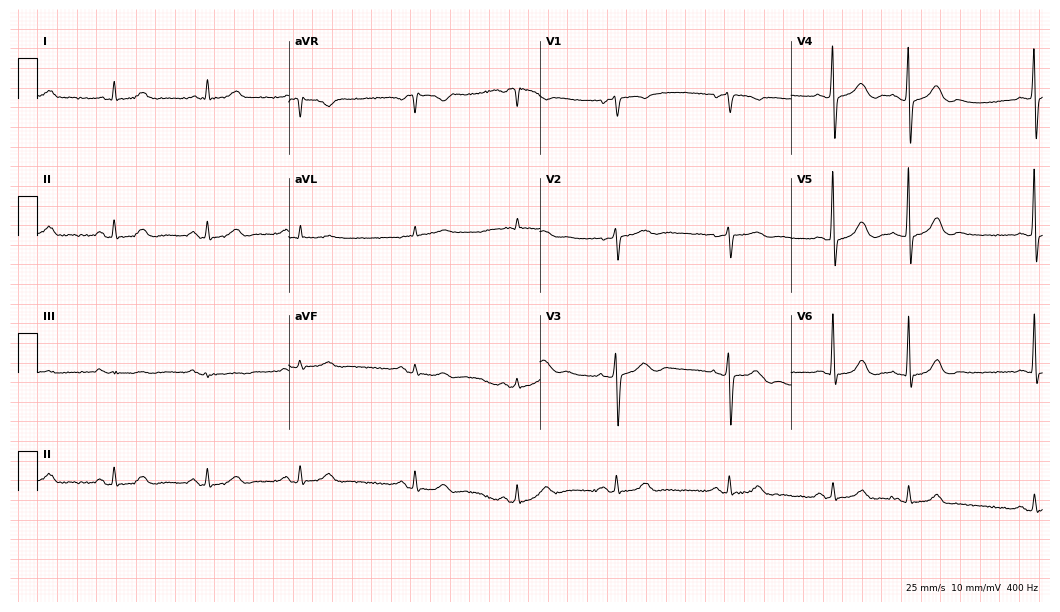
Standard 12-lead ECG recorded from a female patient, 78 years old (10.2-second recording at 400 Hz). None of these six findings is recorded: first-degree AV block, right bundle branch block, left bundle branch block, sinus bradycardia, atrial fibrillation, sinus tachycardia.